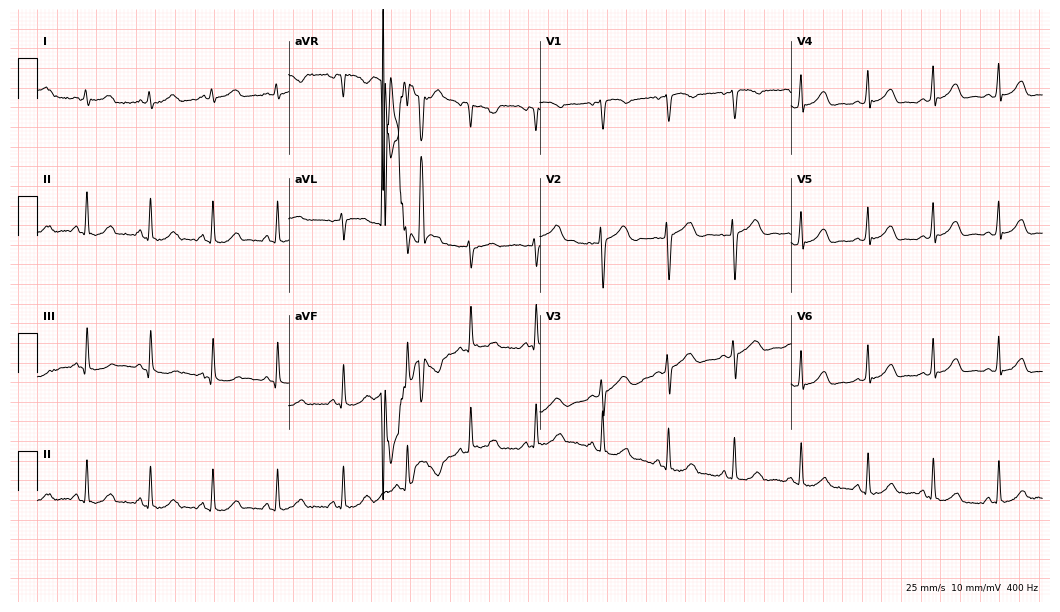
12-lead ECG (10.2-second recording at 400 Hz) from a female, 20 years old. Screened for six findings — first-degree AV block, right bundle branch block, left bundle branch block, sinus bradycardia, atrial fibrillation, sinus tachycardia — none is recorded.